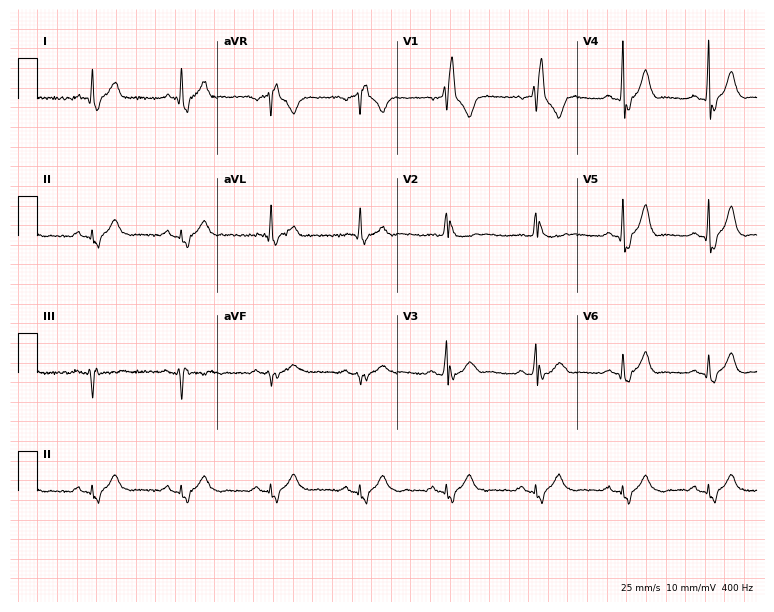
Resting 12-lead electrocardiogram. Patient: a male, 54 years old. The tracing shows right bundle branch block.